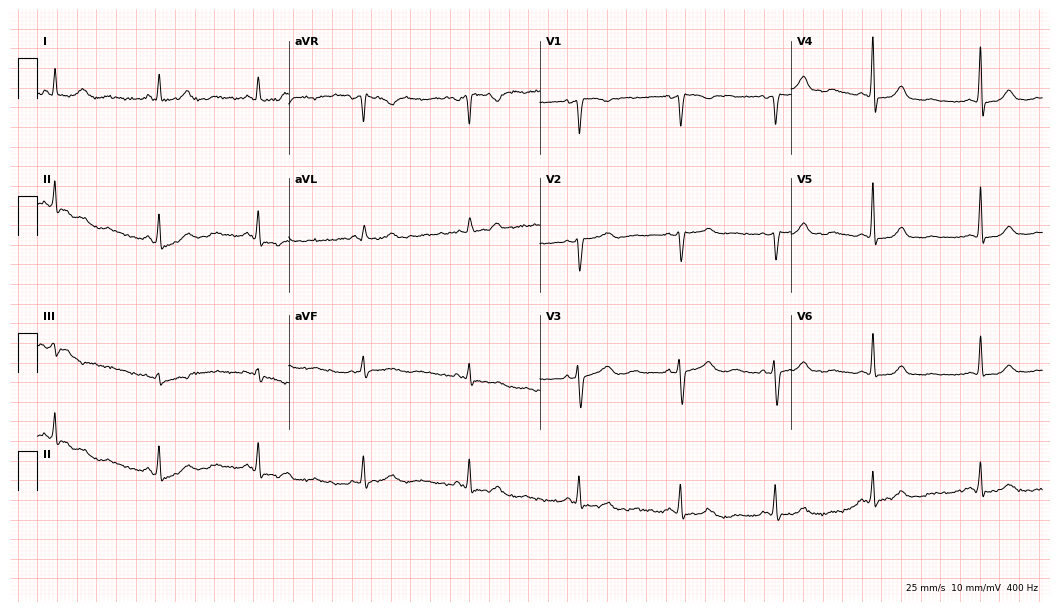
12-lead ECG from a female, 51 years old (10.2-second recording at 400 Hz). Recorded interpretation: within normal limits.